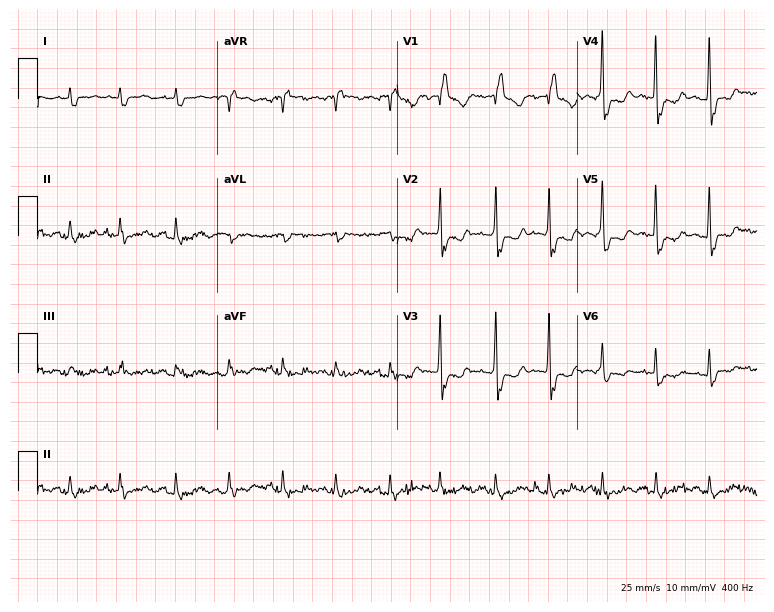
ECG (7.3-second recording at 400 Hz) — a 71-year-old male patient. Findings include right bundle branch block, sinus tachycardia (a sinus rate of 100 beats per minute or more).